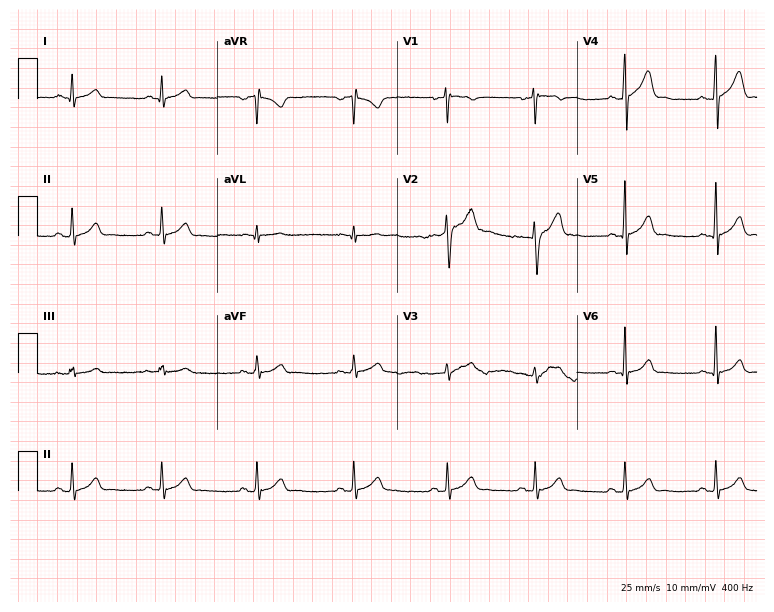
12-lead ECG (7.3-second recording at 400 Hz) from a 20-year-old male patient. Labelled as a normal ECG.